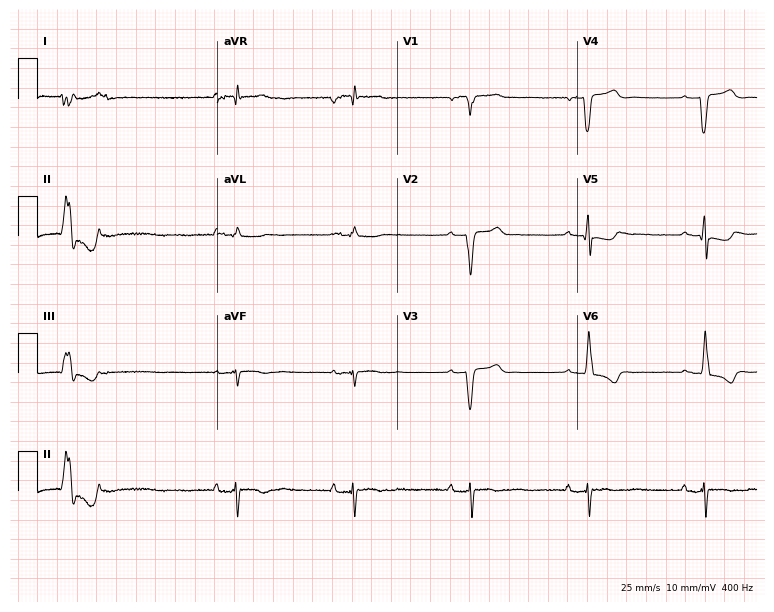
12-lead ECG from a male, 64 years old (7.3-second recording at 400 Hz). No first-degree AV block, right bundle branch block, left bundle branch block, sinus bradycardia, atrial fibrillation or sinus tachycardia recorded for this tracing.